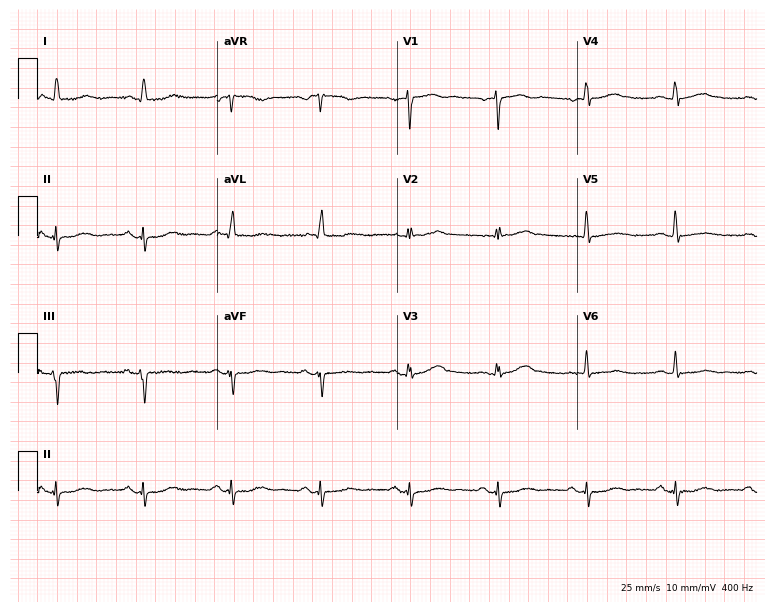
ECG (7.3-second recording at 400 Hz) — a female patient, 66 years old. Screened for six findings — first-degree AV block, right bundle branch block, left bundle branch block, sinus bradycardia, atrial fibrillation, sinus tachycardia — none is recorded.